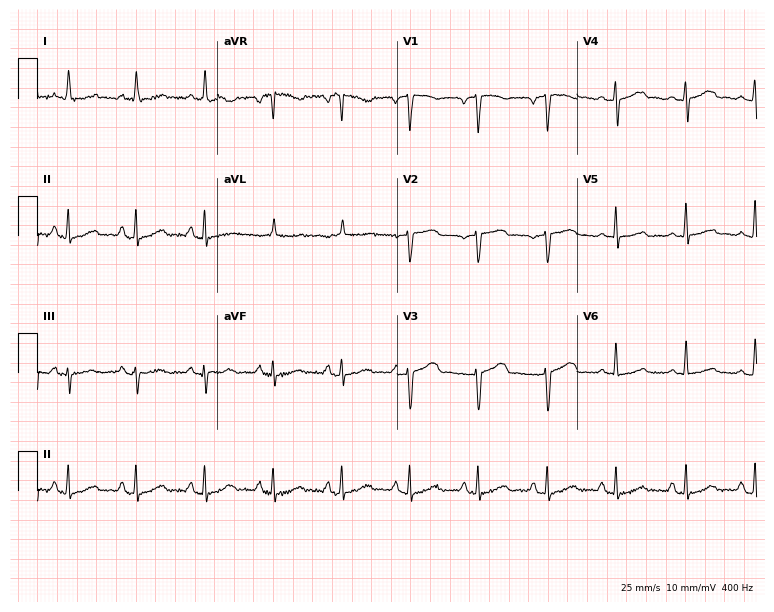
Resting 12-lead electrocardiogram. Patient: an 82-year-old female. Read as a normal ECG.